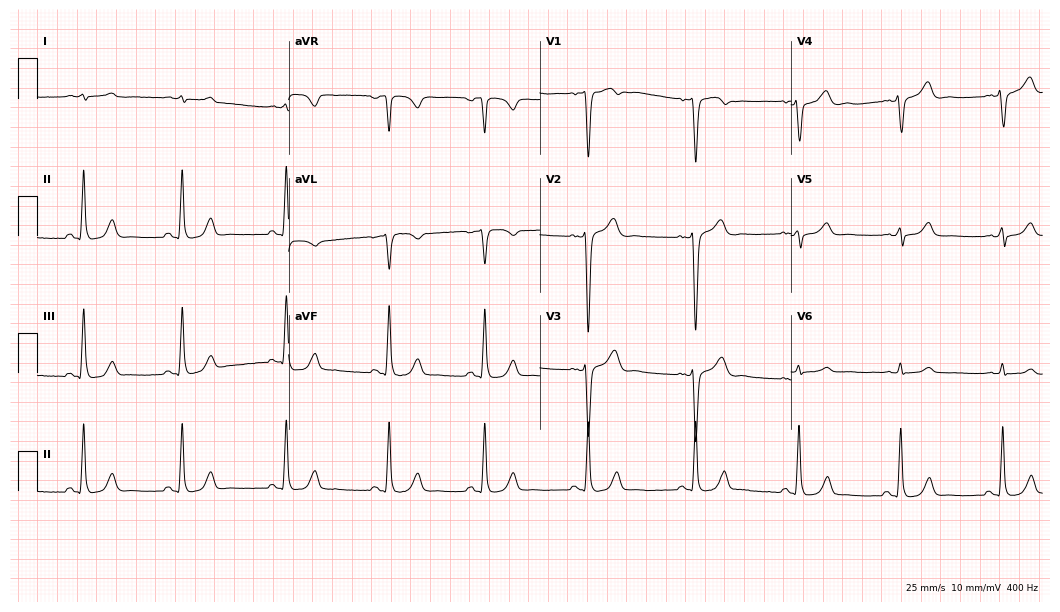
Electrocardiogram (10.2-second recording at 400 Hz), a 42-year-old male patient. Of the six screened findings (first-degree AV block, right bundle branch block (RBBB), left bundle branch block (LBBB), sinus bradycardia, atrial fibrillation (AF), sinus tachycardia), none is recorded. Other findings, if any, are not listed.